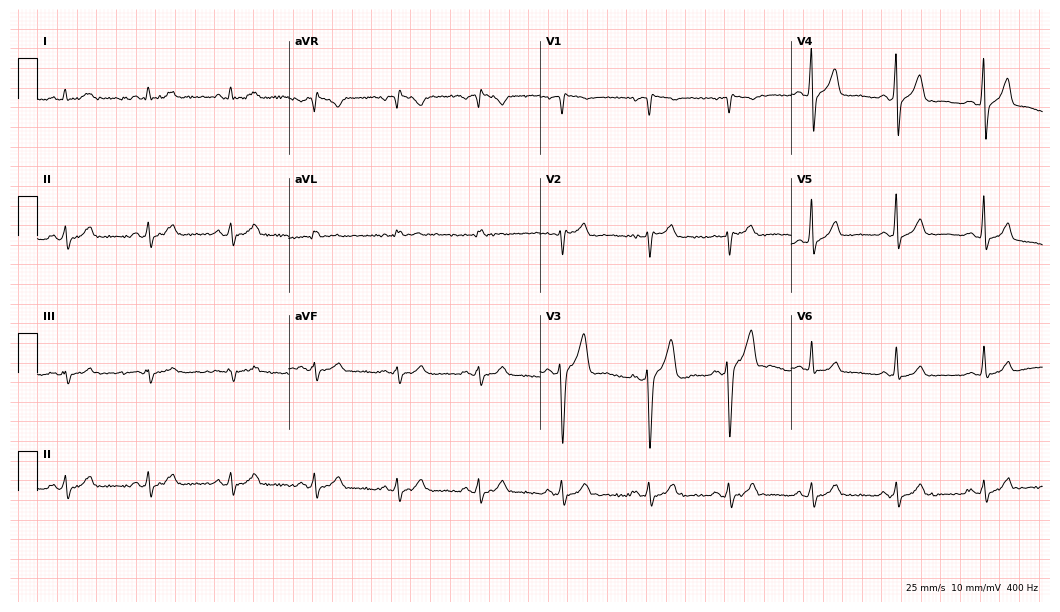
Electrocardiogram, a 48-year-old male patient. Overall reading on record: normal ECG.